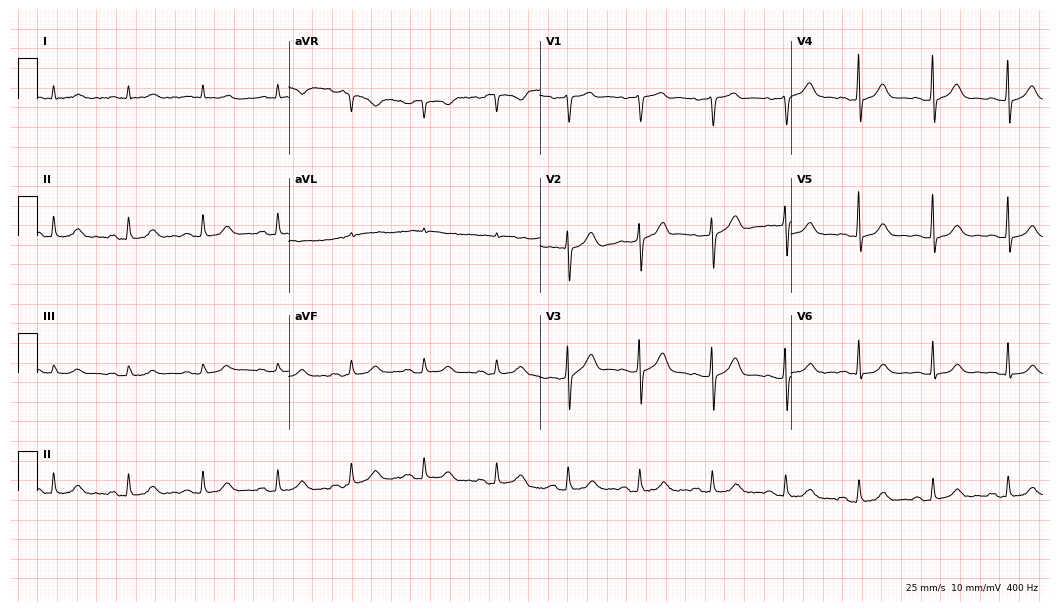
12-lead ECG from a male patient, 80 years old. Labelled as a normal ECG.